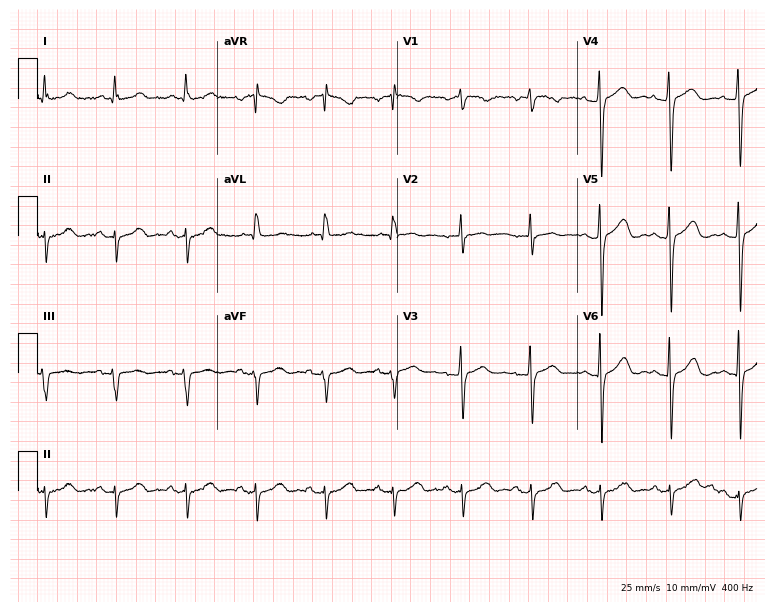
12-lead ECG (7.3-second recording at 400 Hz) from a 54-year-old female. Screened for six findings — first-degree AV block, right bundle branch block, left bundle branch block, sinus bradycardia, atrial fibrillation, sinus tachycardia — none is recorded.